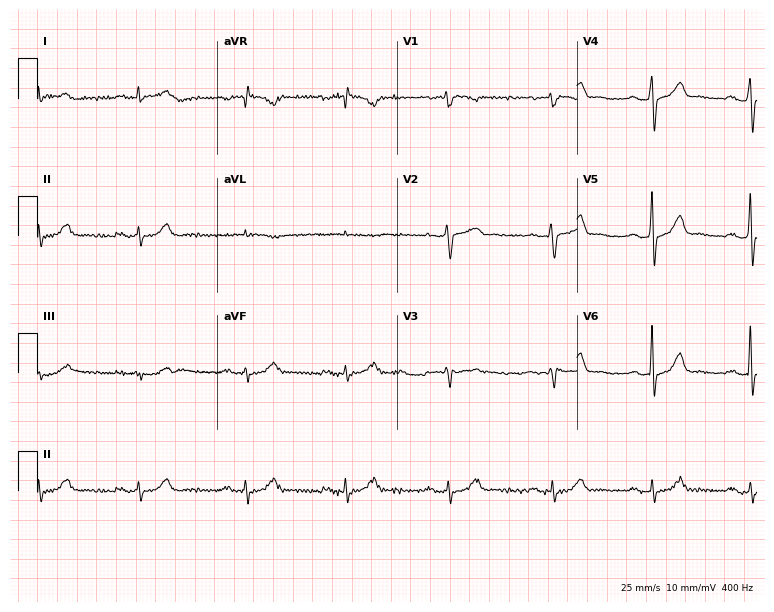
Electrocardiogram, a male, 67 years old. Overall reading on record: normal ECG.